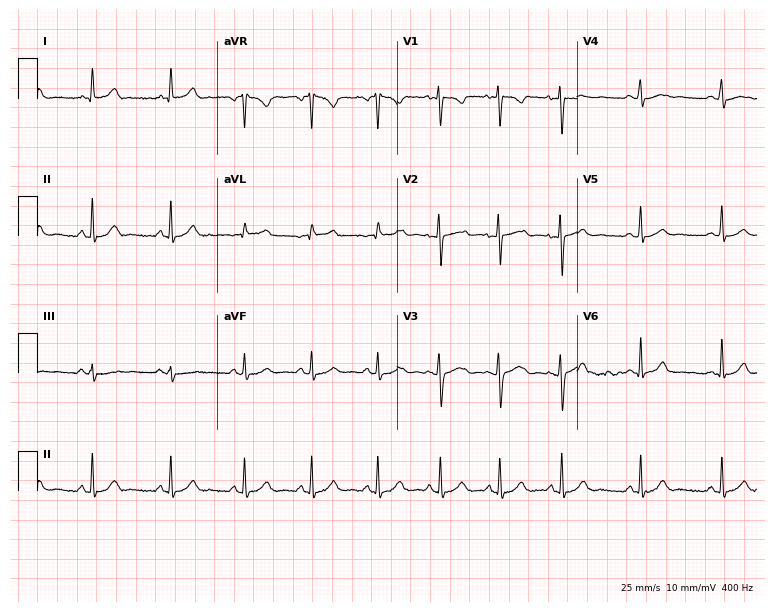
Electrocardiogram (7.3-second recording at 400 Hz), a female patient, 20 years old. Overall reading on record: normal ECG.